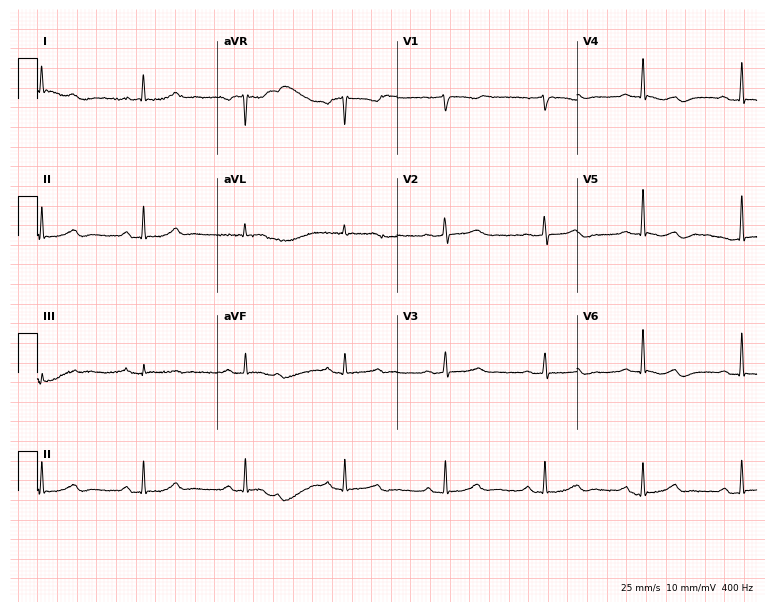
12-lead ECG (7.3-second recording at 400 Hz) from a 65-year-old female patient. Screened for six findings — first-degree AV block, right bundle branch block (RBBB), left bundle branch block (LBBB), sinus bradycardia, atrial fibrillation (AF), sinus tachycardia — none is recorded. Findings outside these six are not listed.